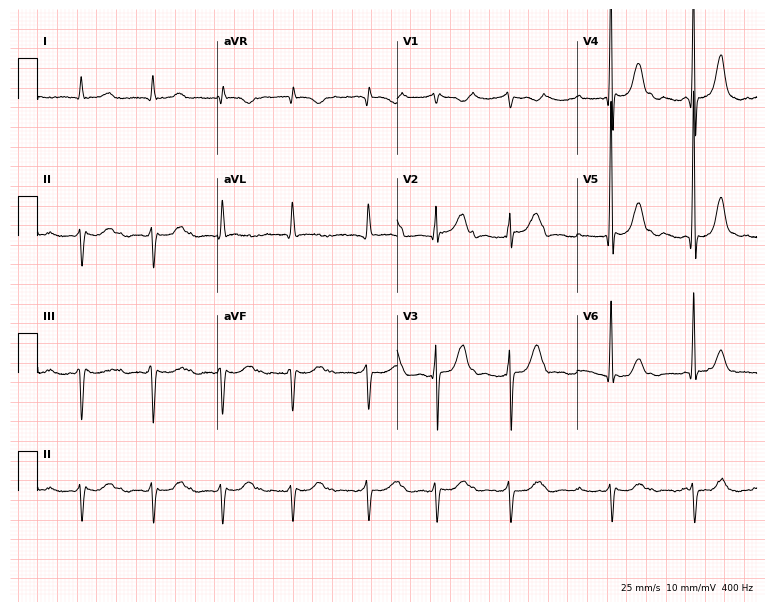
12-lead ECG from a man, 81 years old. No first-degree AV block, right bundle branch block (RBBB), left bundle branch block (LBBB), sinus bradycardia, atrial fibrillation (AF) or sinus tachycardia recorded for this tracing.